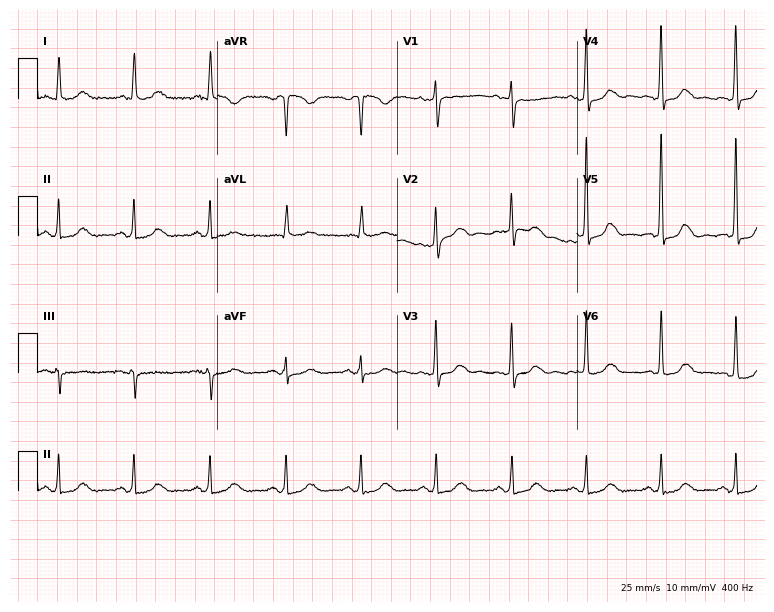
ECG (7.3-second recording at 400 Hz) — a female patient, 68 years old. Labelled as a normal ECG.